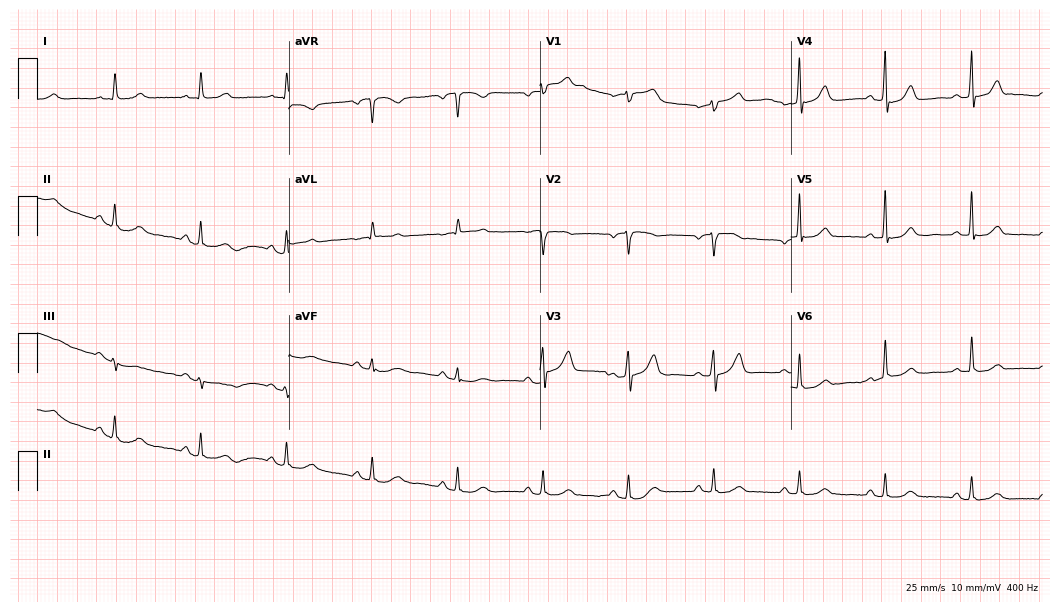
12-lead ECG (10.2-second recording at 400 Hz) from a woman, 64 years old. Labelled as a normal ECG.